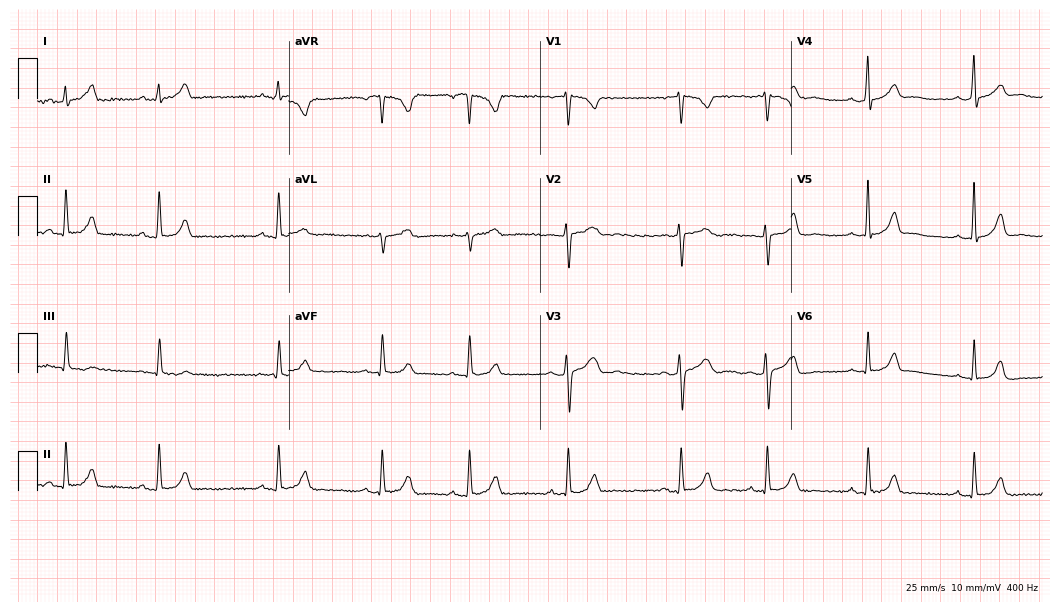
Resting 12-lead electrocardiogram (10.2-second recording at 400 Hz). Patient: a female, 21 years old. Read as a normal ECG.